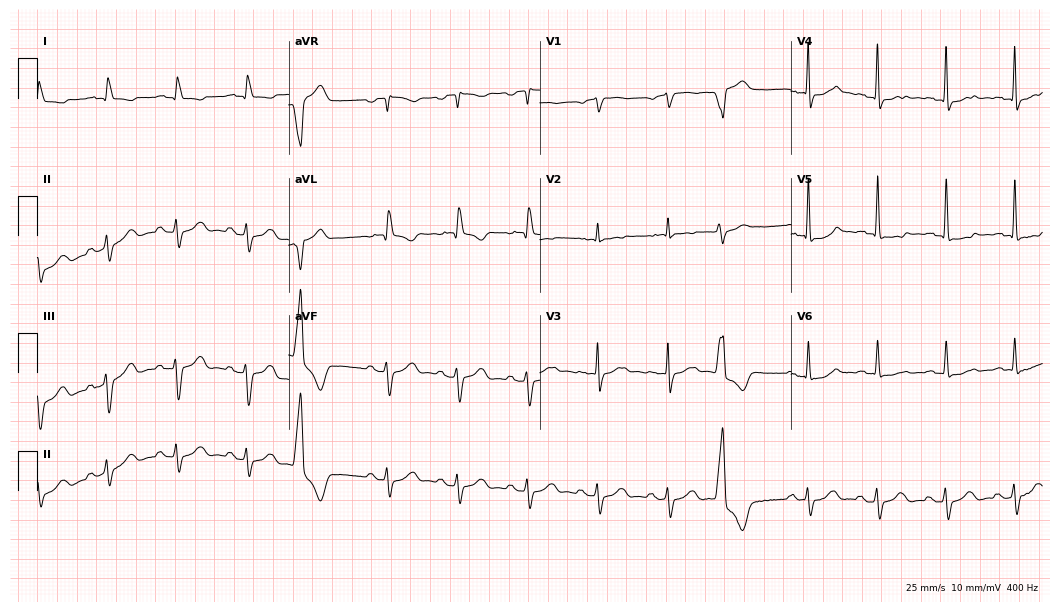
Electrocardiogram (10.2-second recording at 400 Hz), a male, 82 years old. Of the six screened findings (first-degree AV block, right bundle branch block (RBBB), left bundle branch block (LBBB), sinus bradycardia, atrial fibrillation (AF), sinus tachycardia), none is recorded.